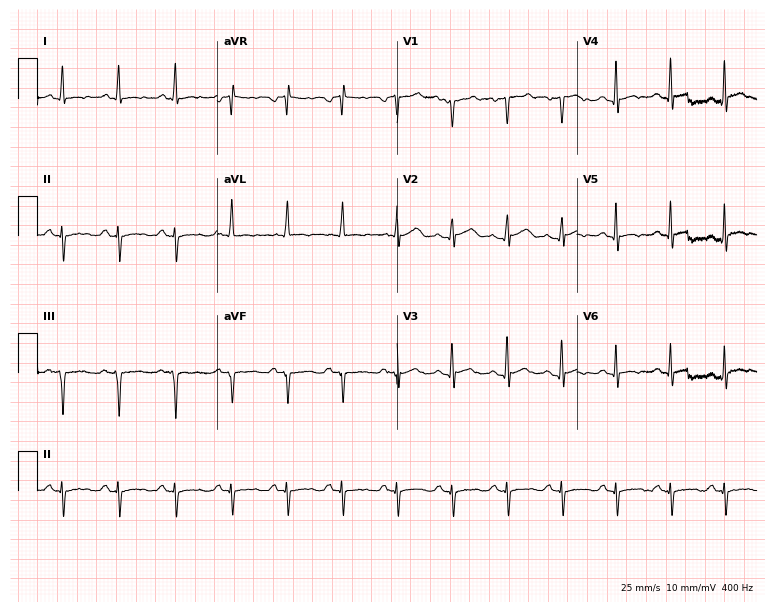
Electrocardiogram, a man, 45 years old. Interpretation includes sinus tachycardia (a sinus rate of 100 beats per minute or more).